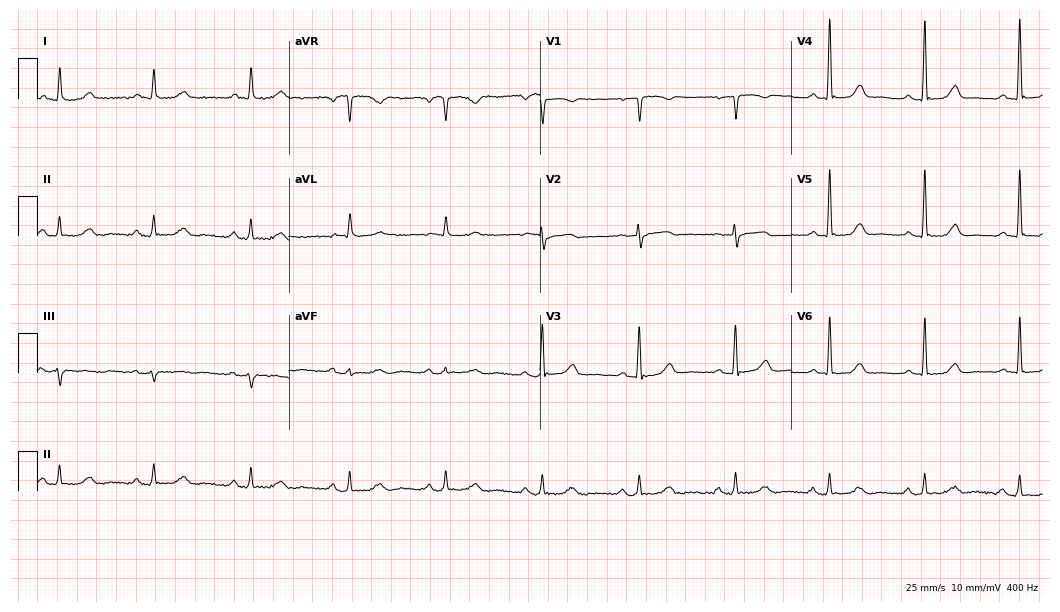
Resting 12-lead electrocardiogram. Patient: a 59-year-old female. Read as a normal ECG.